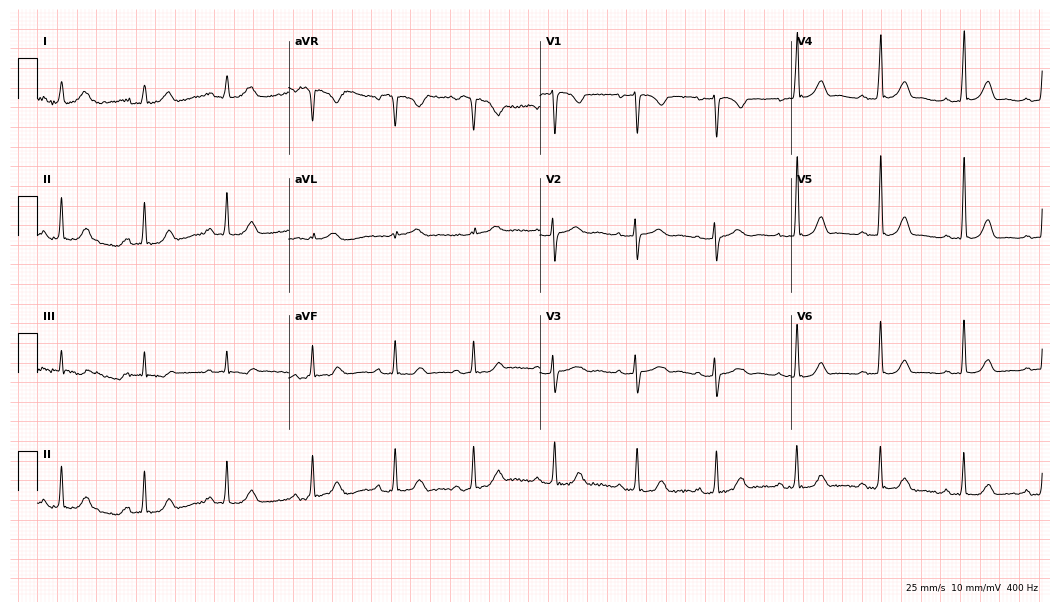
Resting 12-lead electrocardiogram. Patient: a 27-year-old female. None of these six findings is recorded: first-degree AV block, right bundle branch block (RBBB), left bundle branch block (LBBB), sinus bradycardia, atrial fibrillation (AF), sinus tachycardia.